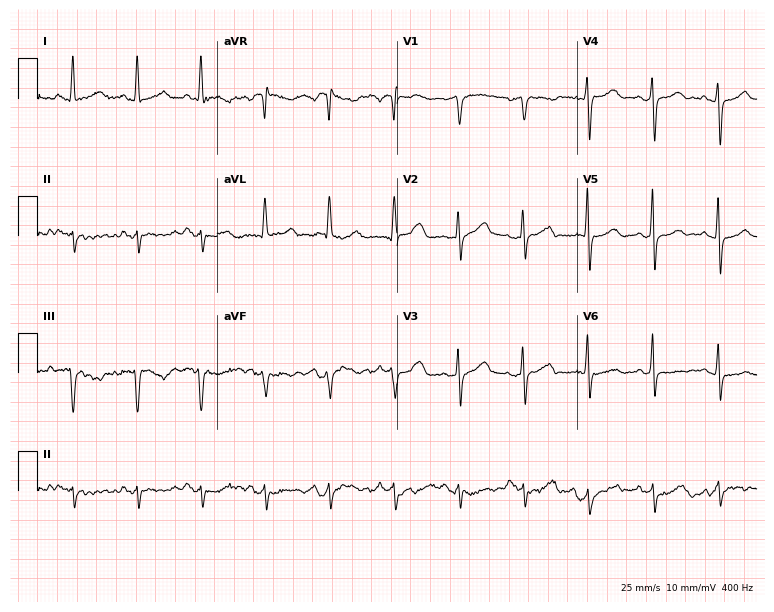
12-lead ECG from a female patient, 63 years old. No first-degree AV block, right bundle branch block, left bundle branch block, sinus bradycardia, atrial fibrillation or sinus tachycardia recorded for this tracing.